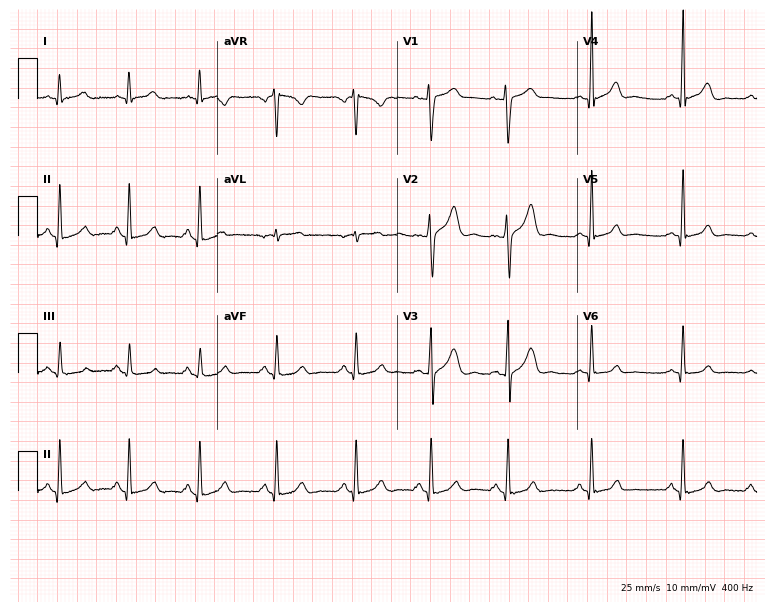
Standard 12-lead ECG recorded from a male, 34 years old. None of these six findings is recorded: first-degree AV block, right bundle branch block, left bundle branch block, sinus bradycardia, atrial fibrillation, sinus tachycardia.